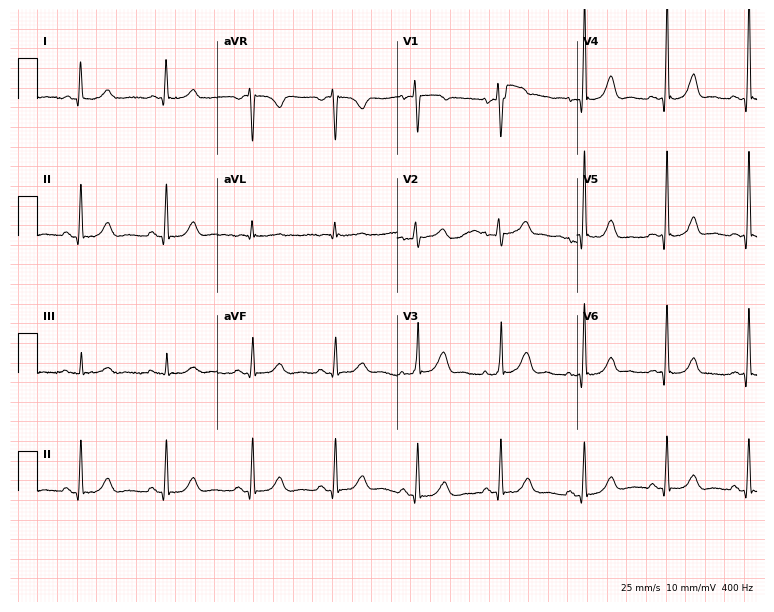
12-lead ECG from a 52-year-old female patient. Recorded interpretation: within normal limits.